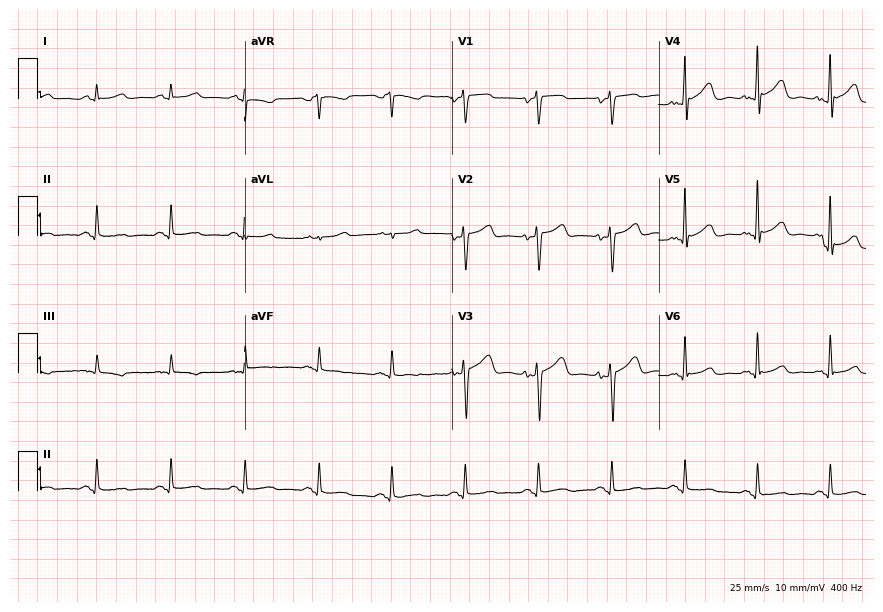
Resting 12-lead electrocardiogram. Patient: a 70-year-old female. None of these six findings is recorded: first-degree AV block, right bundle branch block, left bundle branch block, sinus bradycardia, atrial fibrillation, sinus tachycardia.